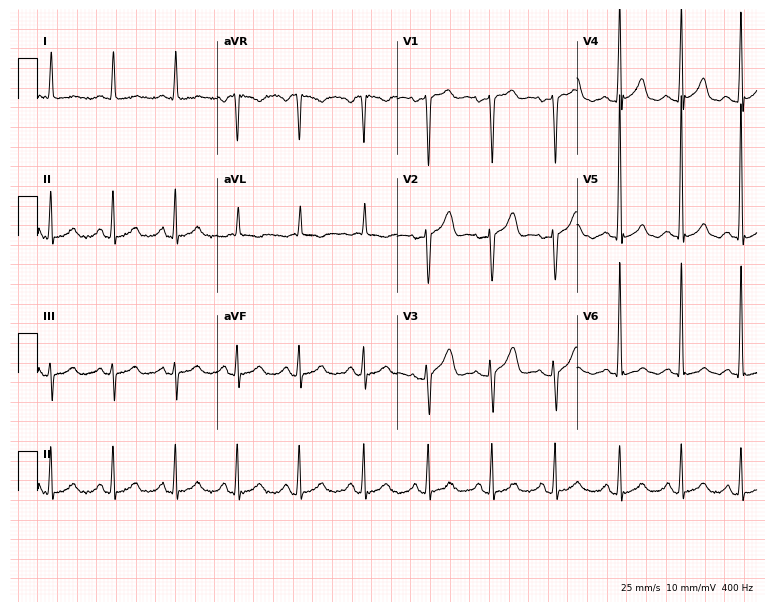
Standard 12-lead ECG recorded from a female patient, 81 years old (7.3-second recording at 400 Hz). None of these six findings is recorded: first-degree AV block, right bundle branch block, left bundle branch block, sinus bradycardia, atrial fibrillation, sinus tachycardia. Only these six findings were labelled.